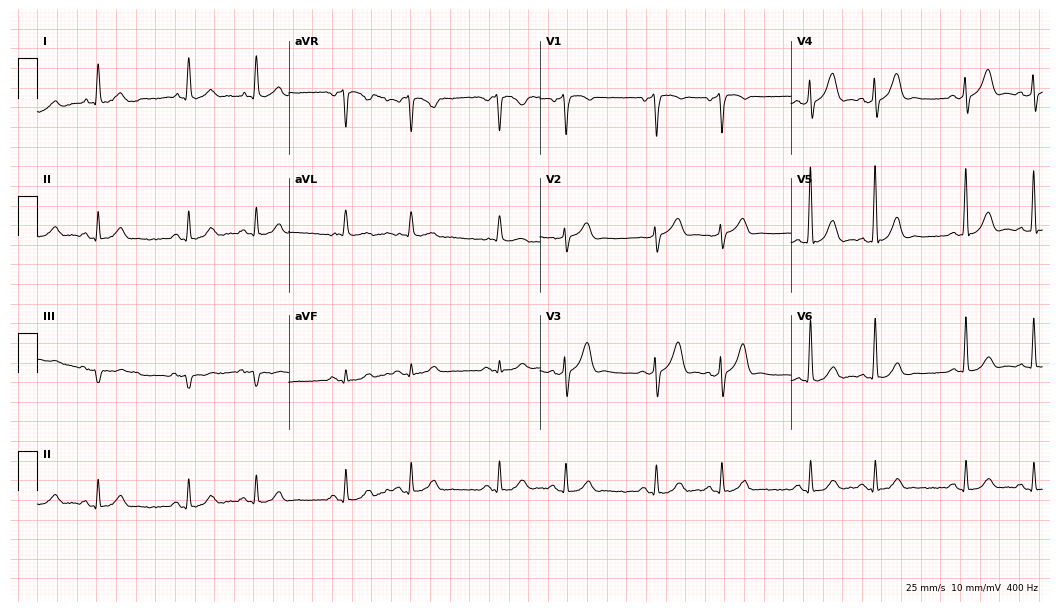
Standard 12-lead ECG recorded from a male, 80 years old (10.2-second recording at 400 Hz). Read as a normal ECG.